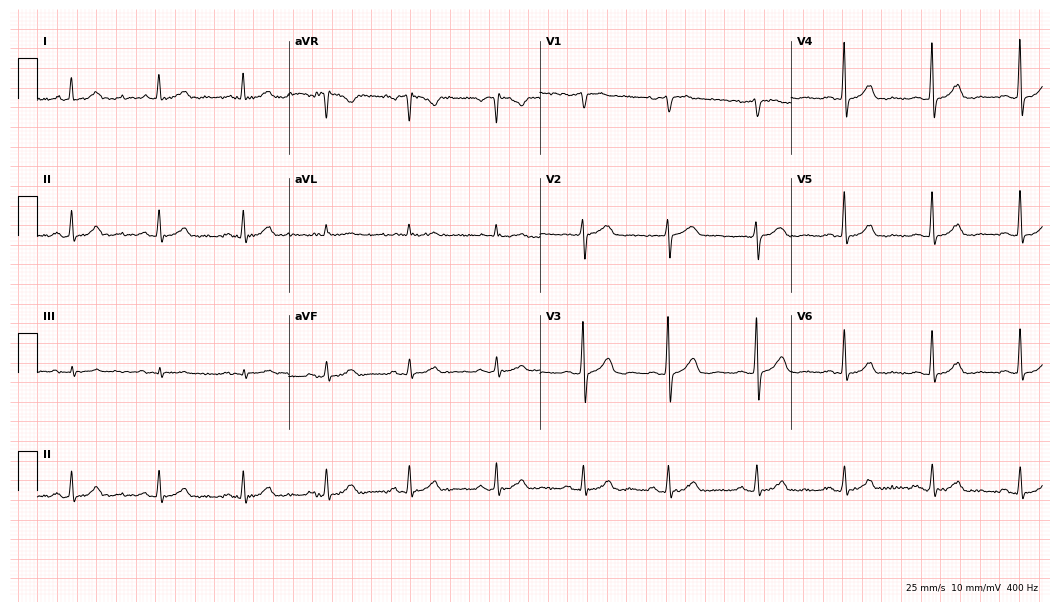
12-lead ECG from a 65-year-old woman. Recorded interpretation: within normal limits.